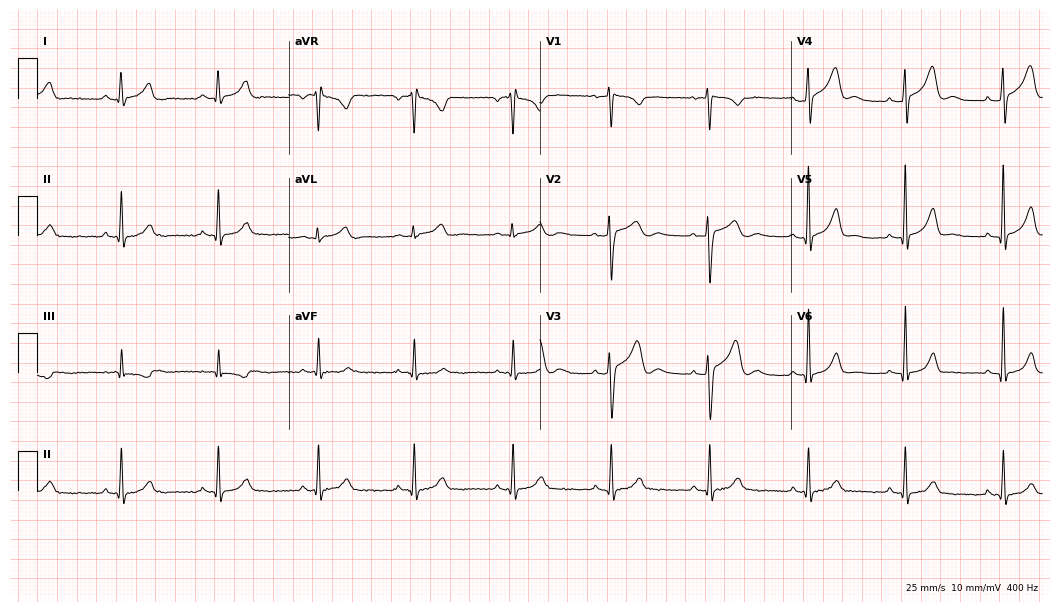
Resting 12-lead electrocardiogram. Patient: a 28-year-old woman. None of these six findings is recorded: first-degree AV block, right bundle branch block, left bundle branch block, sinus bradycardia, atrial fibrillation, sinus tachycardia.